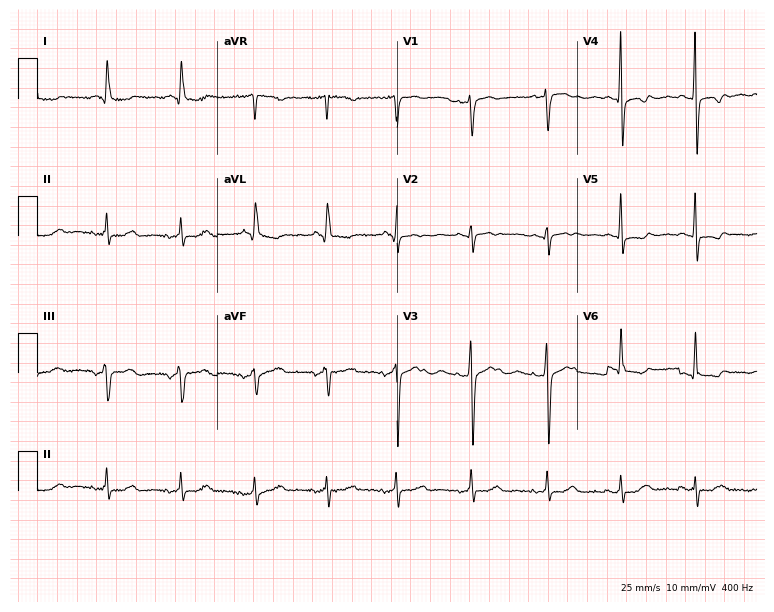
12-lead ECG from a female patient, 70 years old. No first-degree AV block, right bundle branch block, left bundle branch block, sinus bradycardia, atrial fibrillation or sinus tachycardia recorded for this tracing. Only these six findings were labelled.